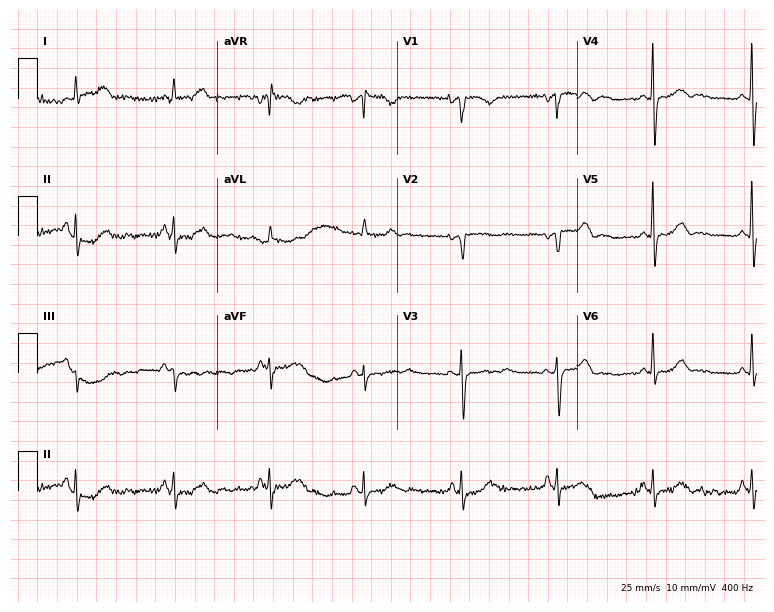
Resting 12-lead electrocardiogram. Patient: a female, 67 years old. None of these six findings is recorded: first-degree AV block, right bundle branch block, left bundle branch block, sinus bradycardia, atrial fibrillation, sinus tachycardia. Findings outside these six are not listed.